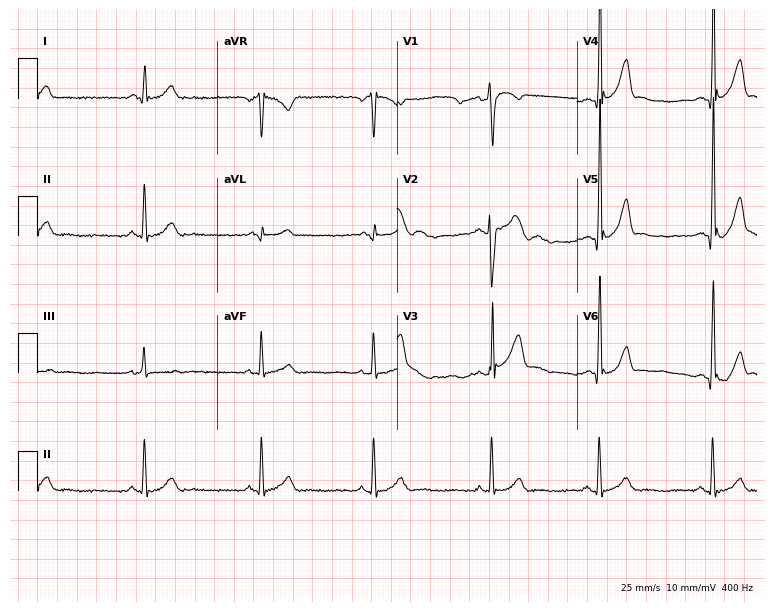
12-lead ECG from a man, 31 years old (7.3-second recording at 400 Hz). No first-degree AV block, right bundle branch block, left bundle branch block, sinus bradycardia, atrial fibrillation or sinus tachycardia recorded for this tracing. Findings outside these six are not listed.